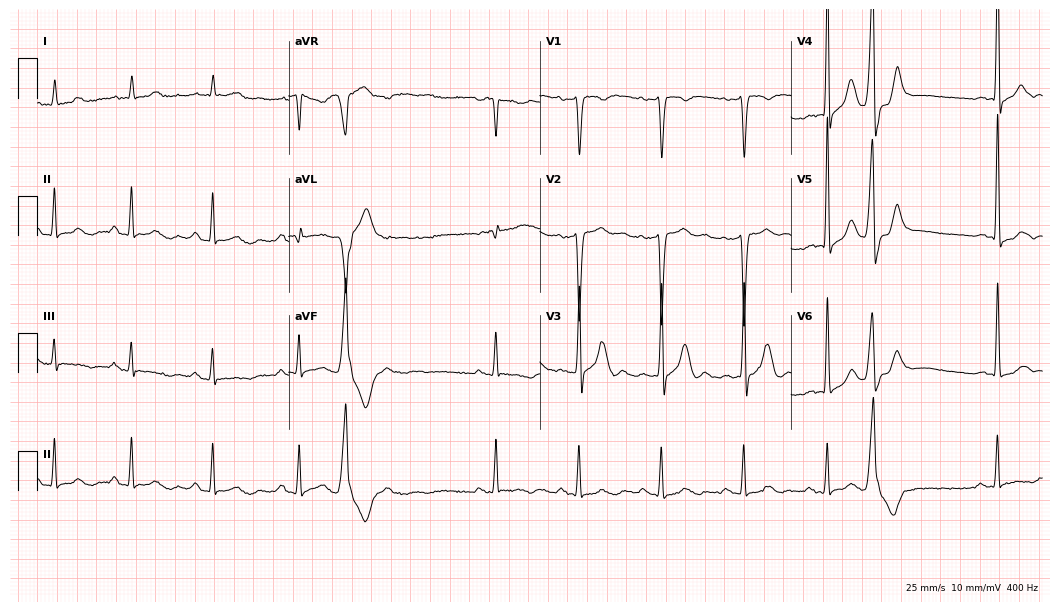
Resting 12-lead electrocardiogram. Patient: a male, 52 years old. None of these six findings is recorded: first-degree AV block, right bundle branch block, left bundle branch block, sinus bradycardia, atrial fibrillation, sinus tachycardia.